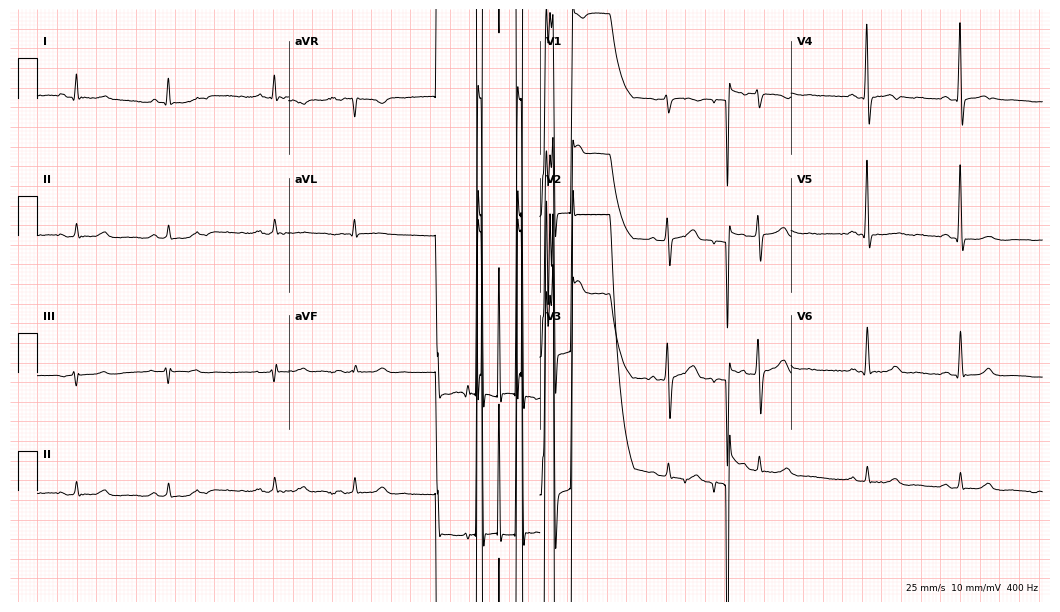
Standard 12-lead ECG recorded from a 64-year-old man (10.2-second recording at 400 Hz). None of these six findings is recorded: first-degree AV block, right bundle branch block (RBBB), left bundle branch block (LBBB), sinus bradycardia, atrial fibrillation (AF), sinus tachycardia. Other findings, if any, are not listed.